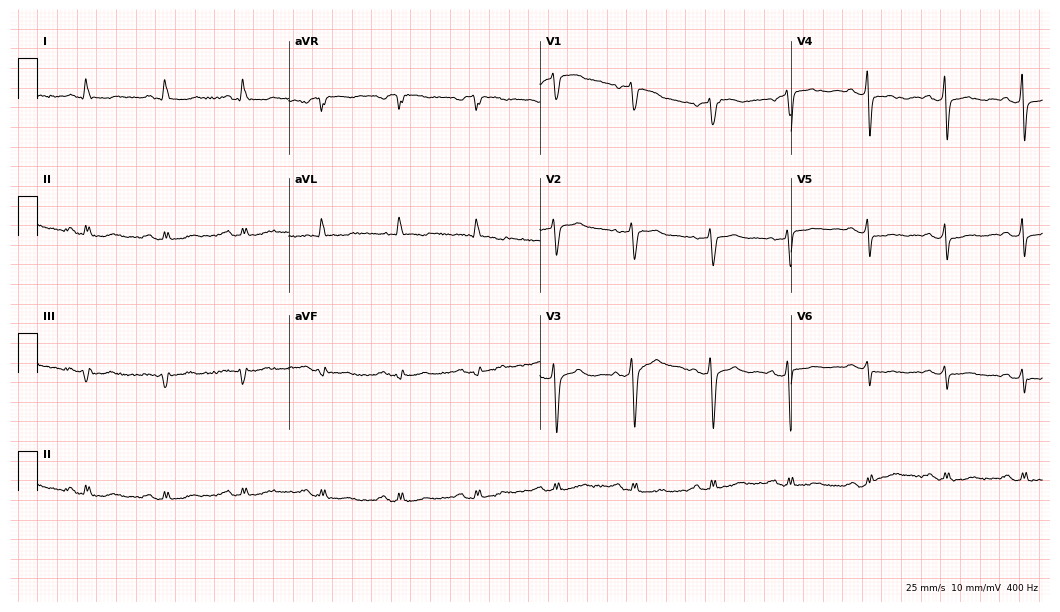
Resting 12-lead electrocardiogram (10.2-second recording at 400 Hz). Patient: a woman, 74 years old. None of these six findings is recorded: first-degree AV block, right bundle branch block, left bundle branch block, sinus bradycardia, atrial fibrillation, sinus tachycardia.